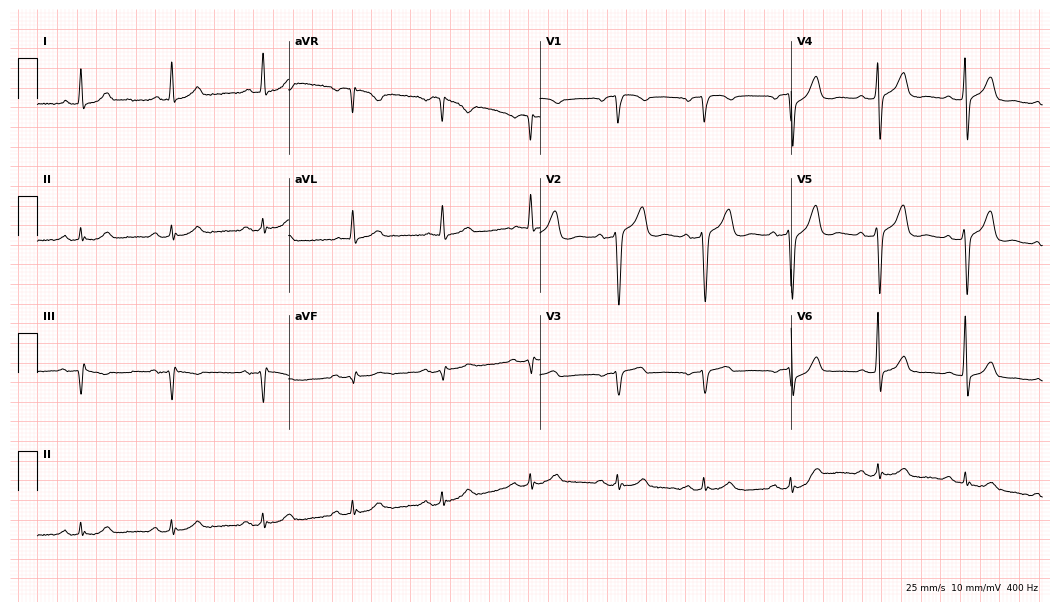
Standard 12-lead ECG recorded from a 69-year-old male (10.2-second recording at 400 Hz). None of these six findings is recorded: first-degree AV block, right bundle branch block, left bundle branch block, sinus bradycardia, atrial fibrillation, sinus tachycardia.